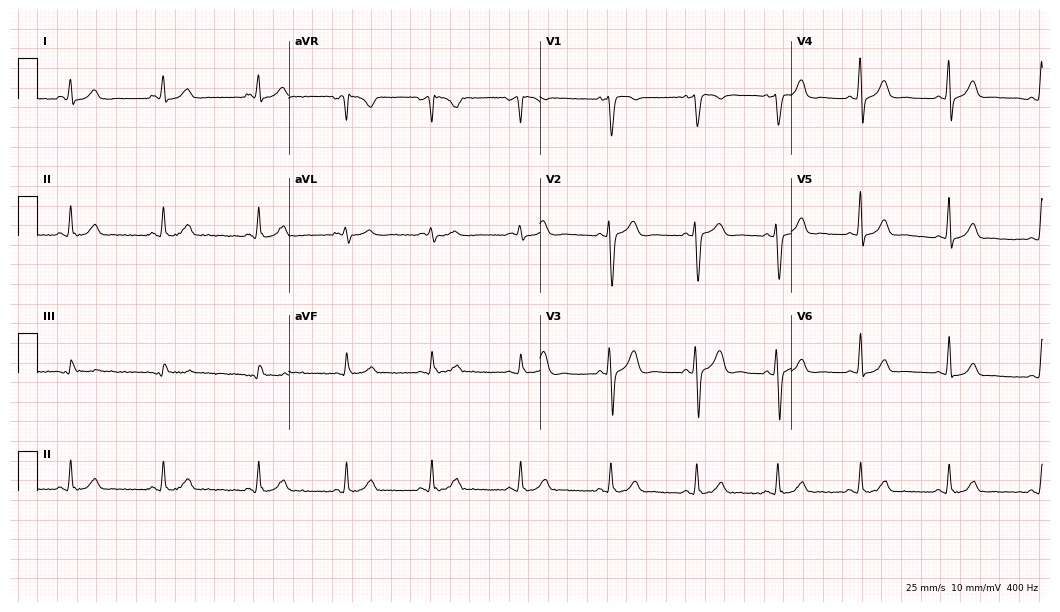
Electrocardiogram (10.2-second recording at 400 Hz), a female, 31 years old. Overall reading on record: normal ECG.